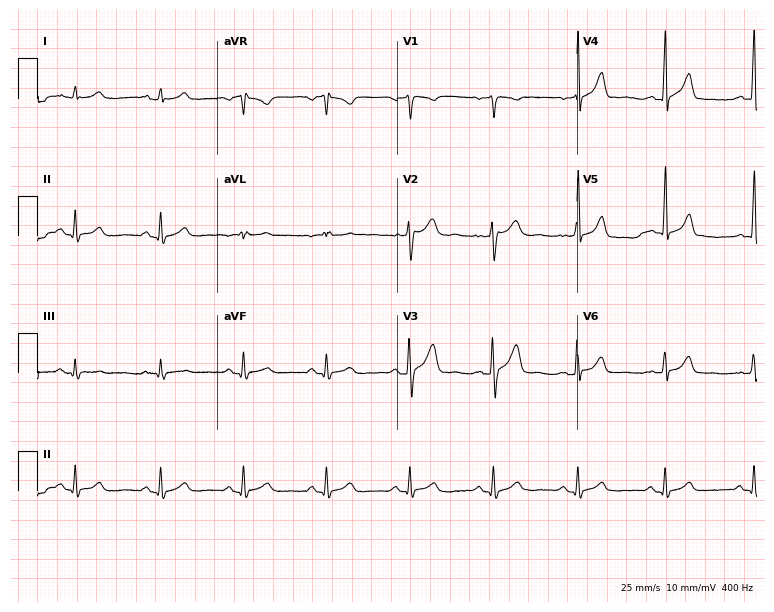
Electrocardiogram, a male, 44 years old. Overall reading on record: normal ECG.